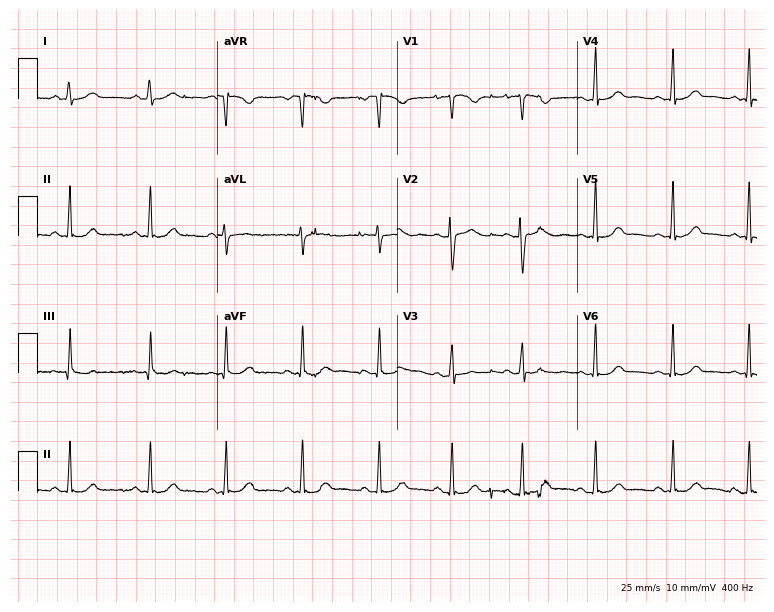
12-lead ECG from a woman, 34 years old. No first-degree AV block, right bundle branch block (RBBB), left bundle branch block (LBBB), sinus bradycardia, atrial fibrillation (AF) or sinus tachycardia recorded for this tracing.